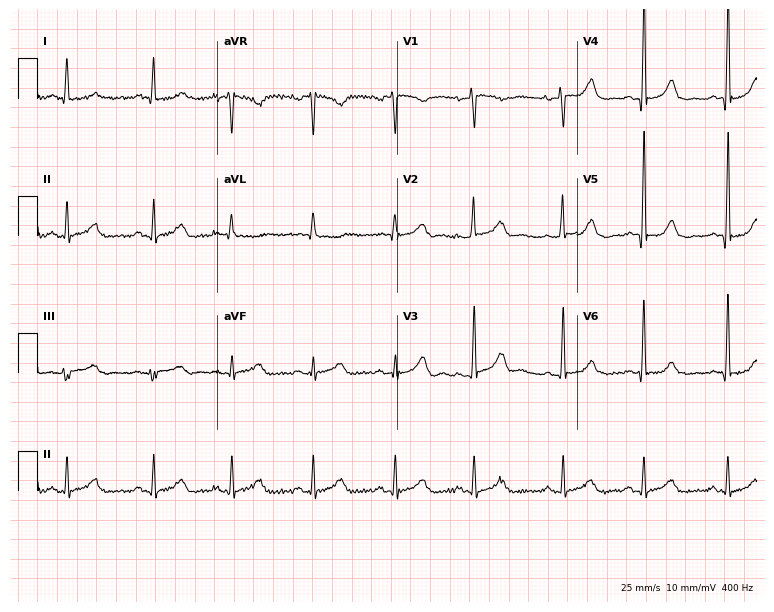
ECG (7.3-second recording at 400 Hz) — a 21-year-old male. Labelled as a normal ECG.